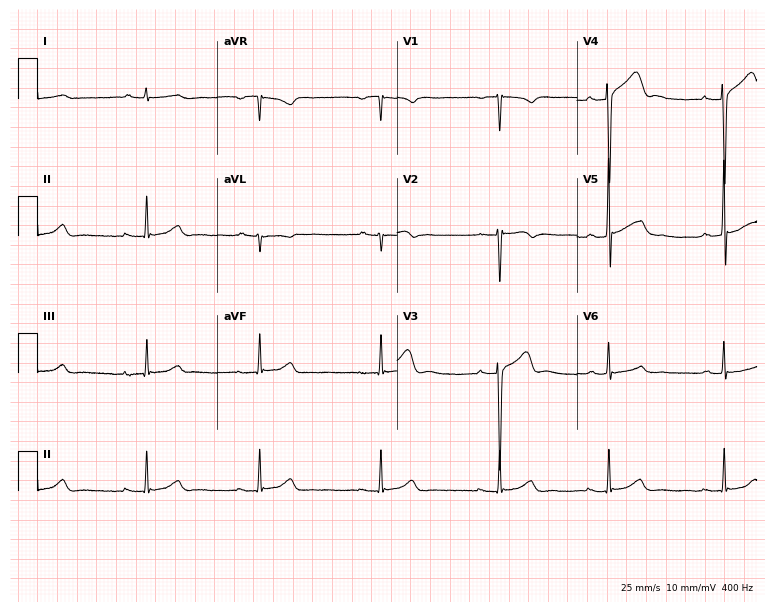
12-lead ECG from a 37-year-old male patient (7.3-second recording at 400 Hz). Recorded interpretation: within normal limits.